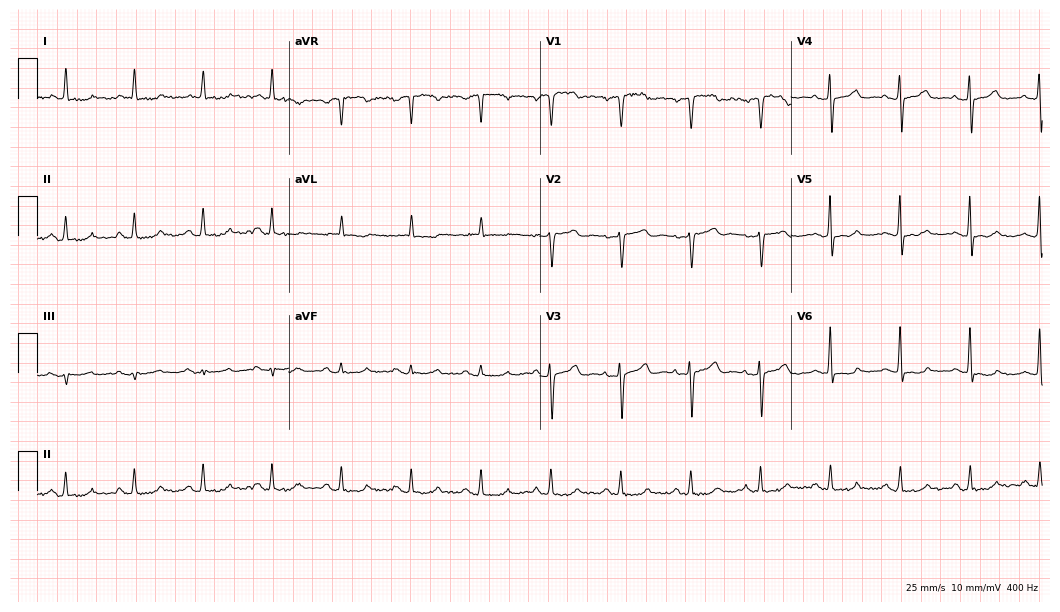
ECG — a 79-year-old female patient. Labelled as a normal ECG.